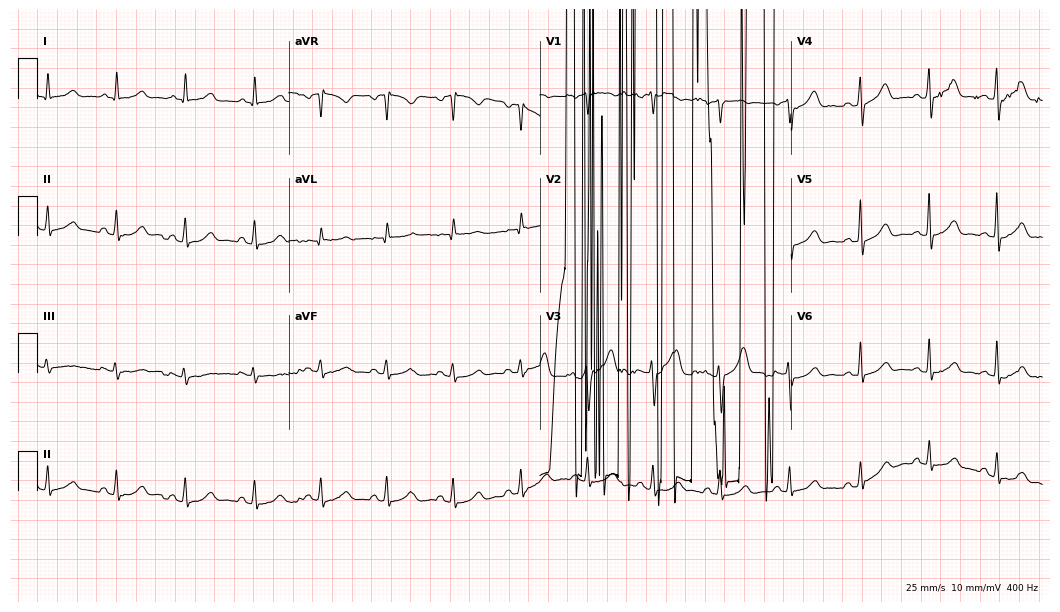
12-lead ECG from a 57-year-old woman. Screened for six findings — first-degree AV block, right bundle branch block (RBBB), left bundle branch block (LBBB), sinus bradycardia, atrial fibrillation (AF), sinus tachycardia — none is recorded. Findings outside these six are not listed.